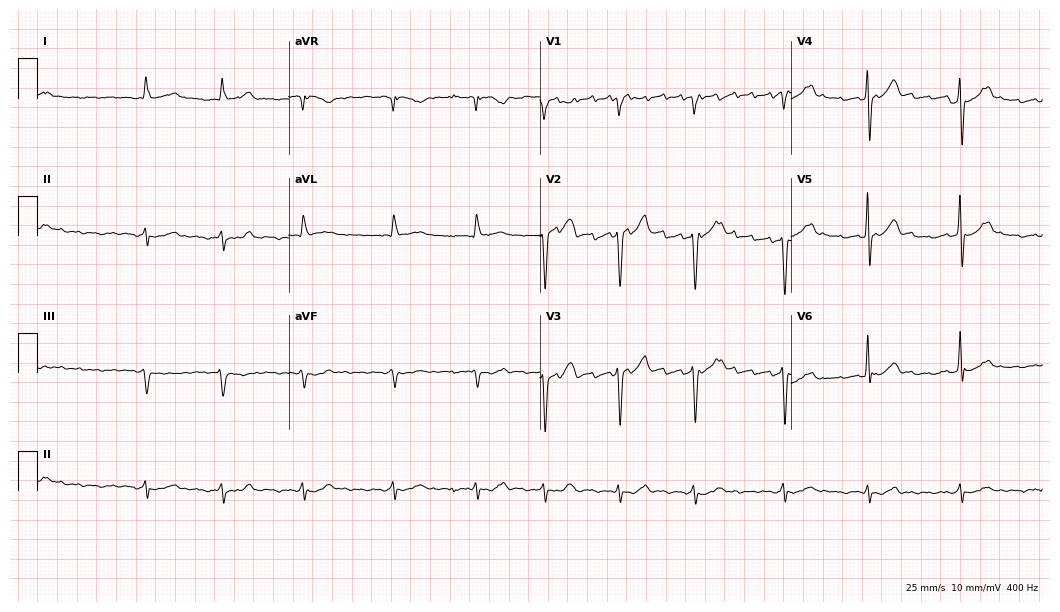
ECG (10.2-second recording at 400 Hz) — an 85-year-old male. Screened for six findings — first-degree AV block, right bundle branch block, left bundle branch block, sinus bradycardia, atrial fibrillation, sinus tachycardia — none is recorded.